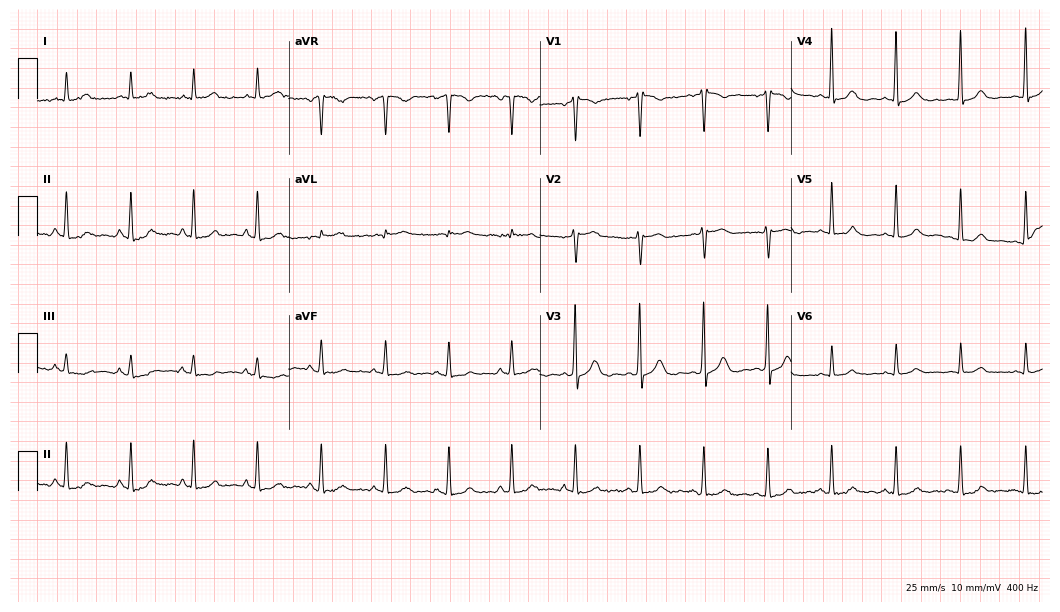
Standard 12-lead ECG recorded from a 53-year-old female. None of these six findings is recorded: first-degree AV block, right bundle branch block, left bundle branch block, sinus bradycardia, atrial fibrillation, sinus tachycardia. Findings outside these six are not listed.